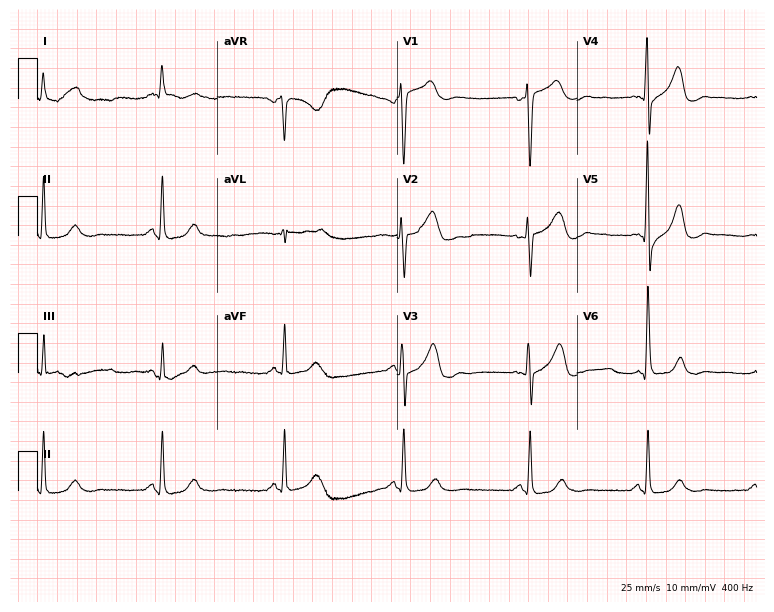
ECG — a 69-year-old male patient. Findings include sinus bradycardia (a sinus rate of 50 beats per minute or less).